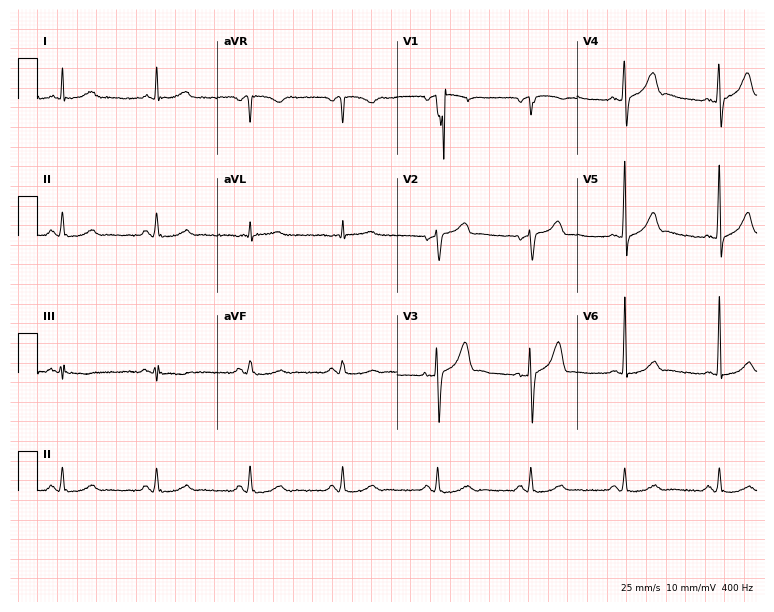
Electrocardiogram, a 79-year-old man. Overall reading on record: normal ECG.